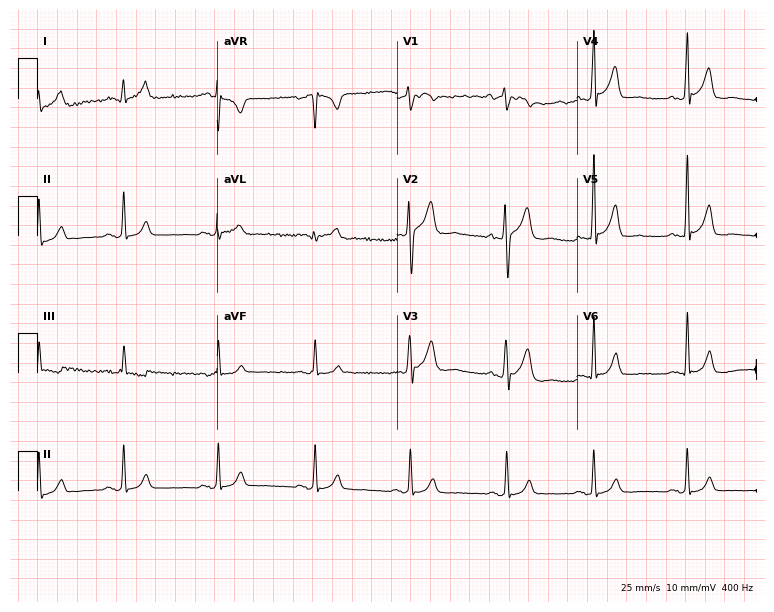
ECG (7.3-second recording at 400 Hz) — a 27-year-old male patient. Screened for six findings — first-degree AV block, right bundle branch block (RBBB), left bundle branch block (LBBB), sinus bradycardia, atrial fibrillation (AF), sinus tachycardia — none is recorded. Findings outside these six are not listed.